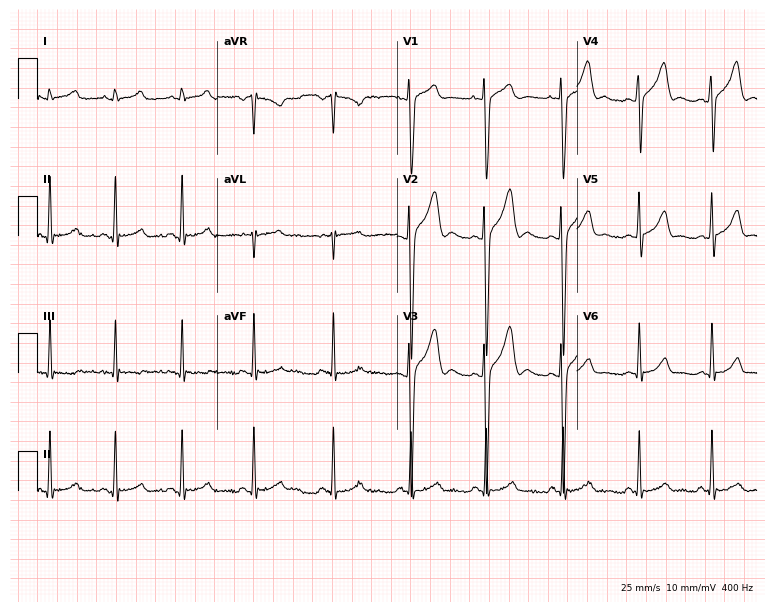
Resting 12-lead electrocardiogram (7.3-second recording at 400 Hz). Patient: a 23-year-old man. Read as a normal ECG.